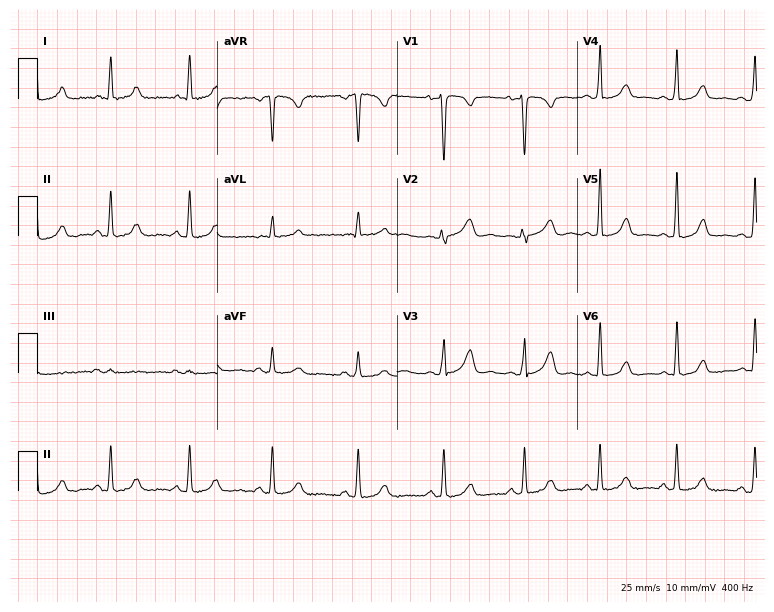
Resting 12-lead electrocardiogram. Patient: a 33-year-old female. None of these six findings is recorded: first-degree AV block, right bundle branch block, left bundle branch block, sinus bradycardia, atrial fibrillation, sinus tachycardia. Only these six findings were labelled.